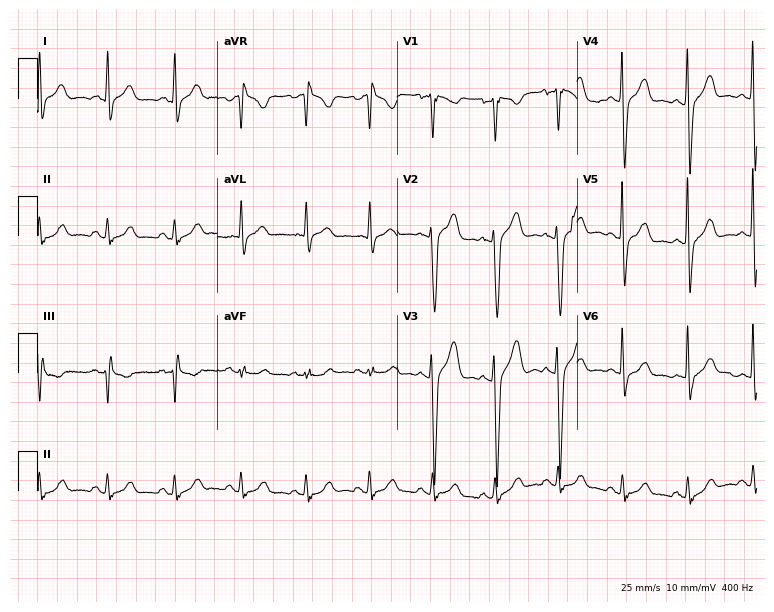
Resting 12-lead electrocardiogram. Patient: a 36-year-old male. Read as a normal ECG.